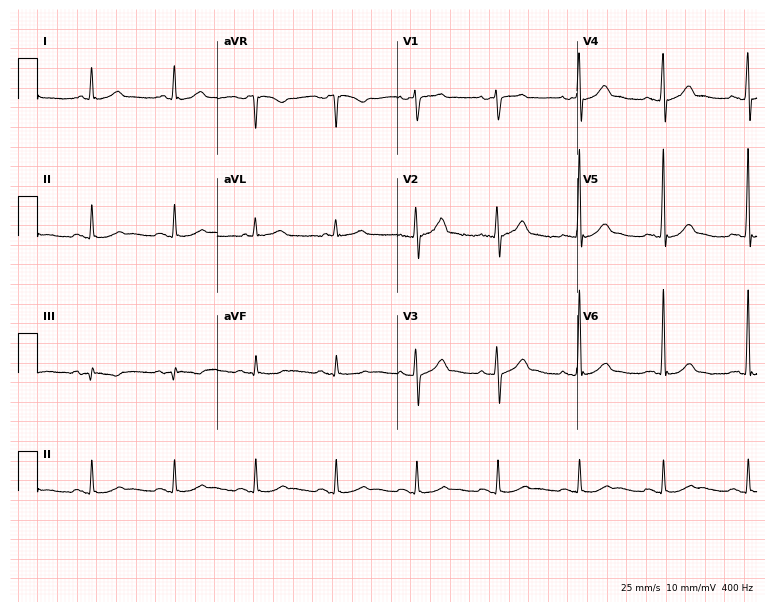
ECG — a 63-year-old male patient. Labelled as a normal ECG.